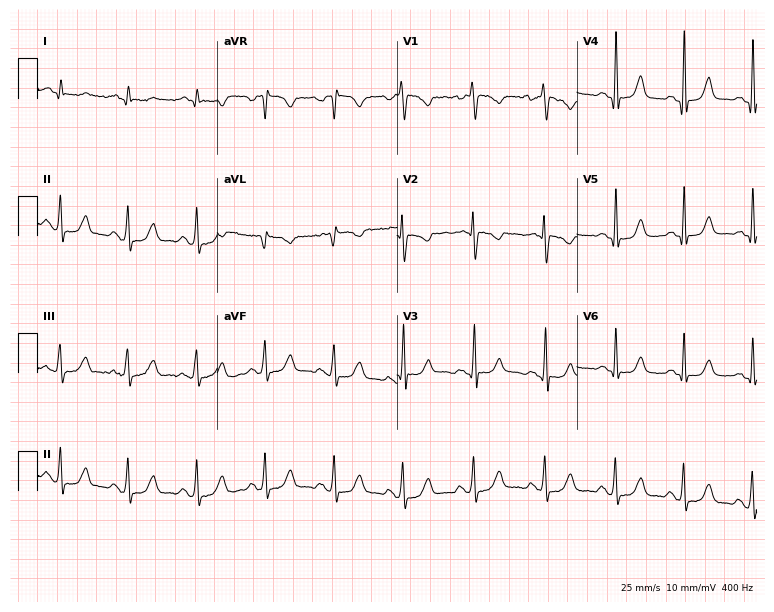
12-lead ECG from a 26-year-old woman. Screened for six findings — first-degree AV block, right bundle branch block, left bundle branch block, sinus bradycardia, atrial fibrillation, sinus tachycardia — none is recorded. Findings outside these six are not listed.